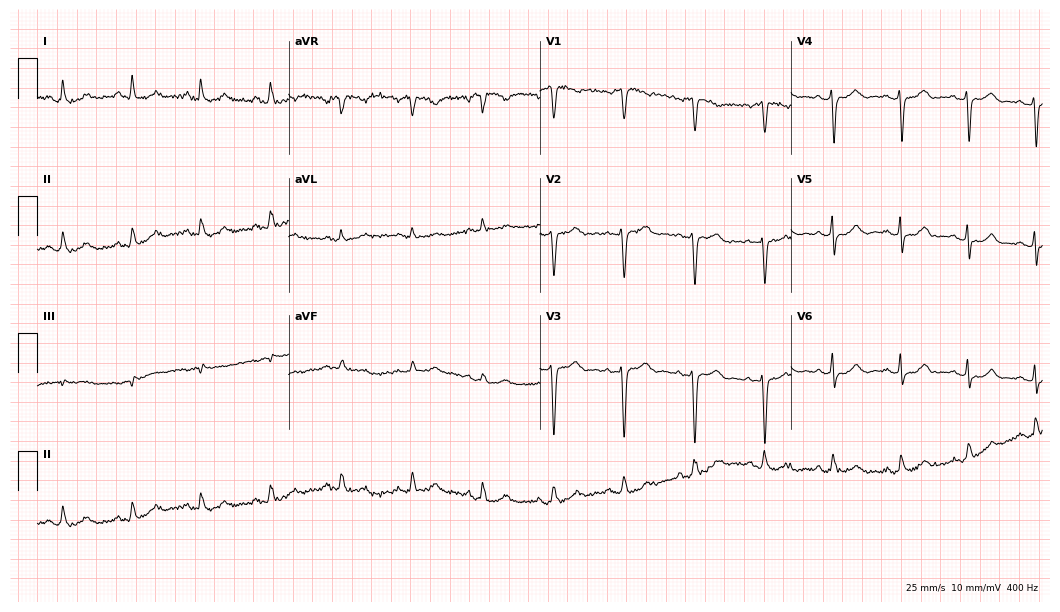
Electrocardiogram (10.2-second recording at 400 Hz), a 42-year-old female. Of the six screened findings (first-degree AV block, right bundle branch block, left bundle branch block, sinus bradycardia, atrial fibrillation, sinus tachycardia), none is recorded.